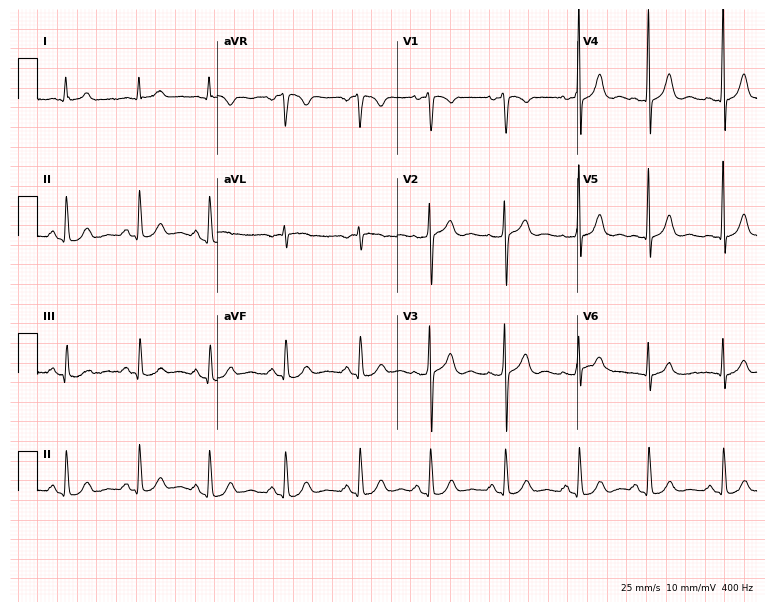
Standard 12-lead ECG recorded from a 44-year-old man. None of these six findings is recorded: first-degree AV block, right bundle branch block, left bundle branch block, sinus bradycardia, atrial fibrillation, sinus tachycardia. Other findings, if any, are not listed.